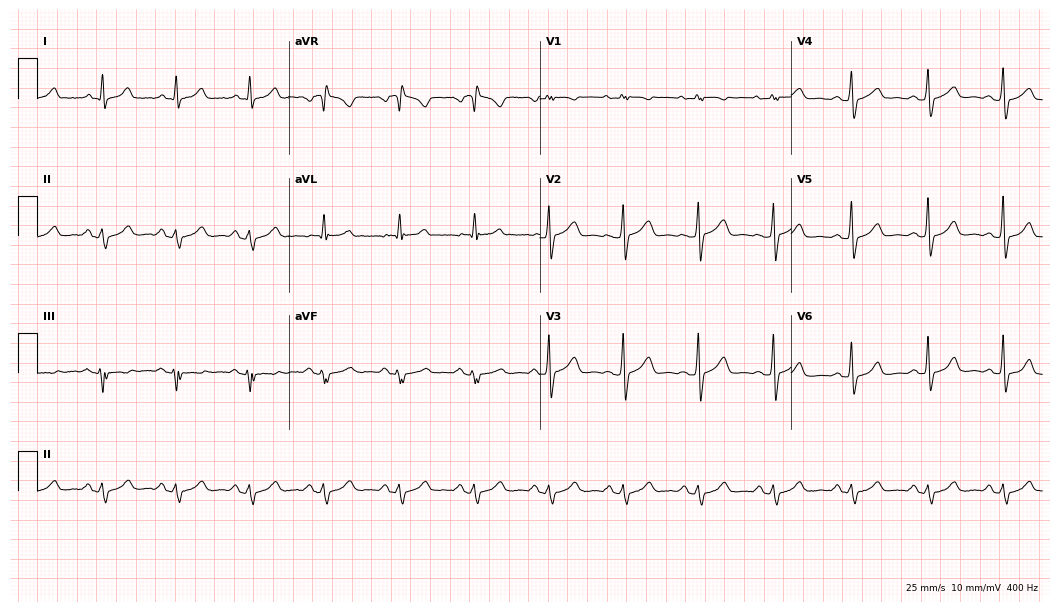
12-lead ECG from a 43-year-old female patient. Screened for six findings — first-degree AV block, right bundle branch block, left bundle branch block, sinus bradycardia, atrial fibrillation, sinus tachycardia — none is recorded.